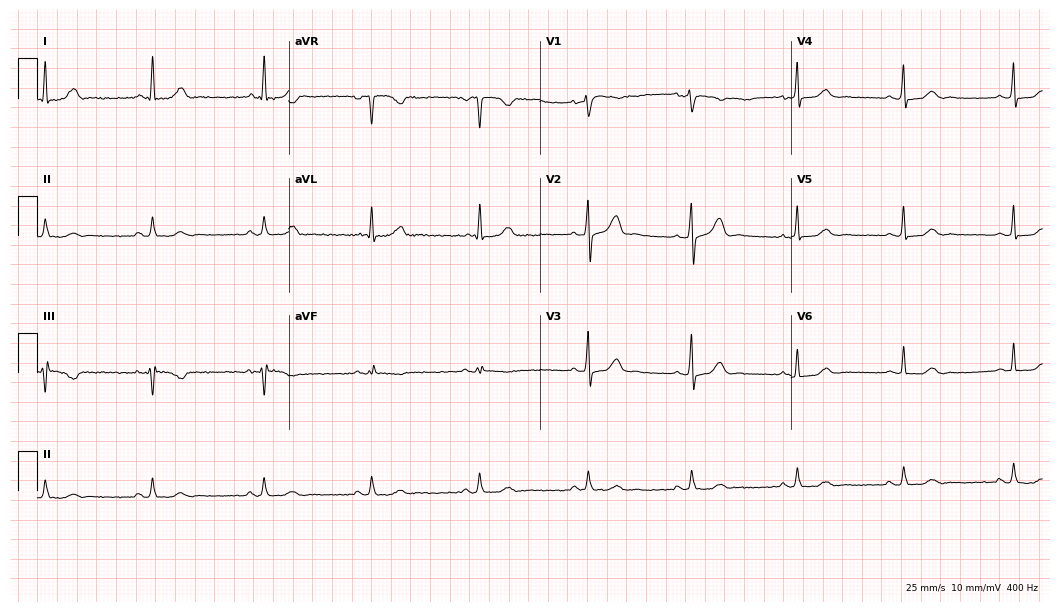
Resting 12-lead electrocardiogram. Patient: a woman, 58 years old. None of these six findings is recorded: first-degree AV block, right bundle branch block (RBBB), left bundle branch block (LBBB), sinus bradycardia, atrial fibrillation (AF), sinus tachycardia. Findings outside these six are not listed.